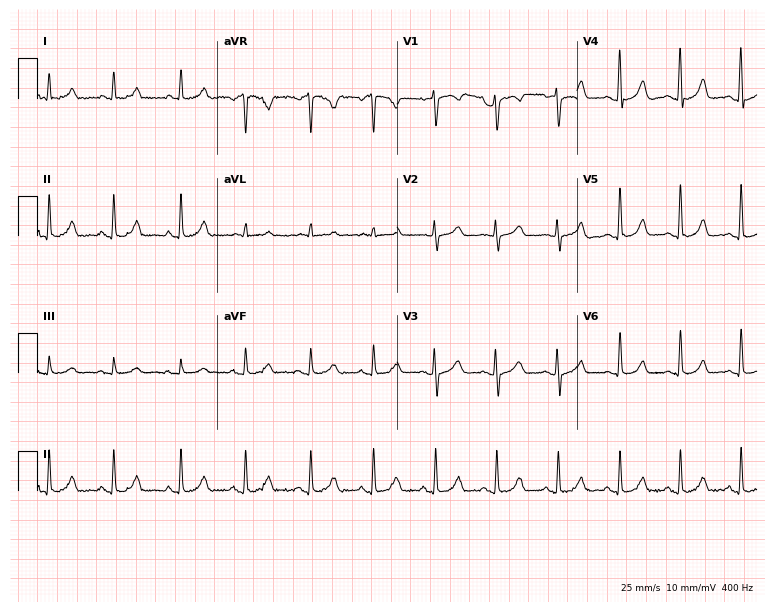
ECG — a female, 44 years old. Labelled as a normal ECG.